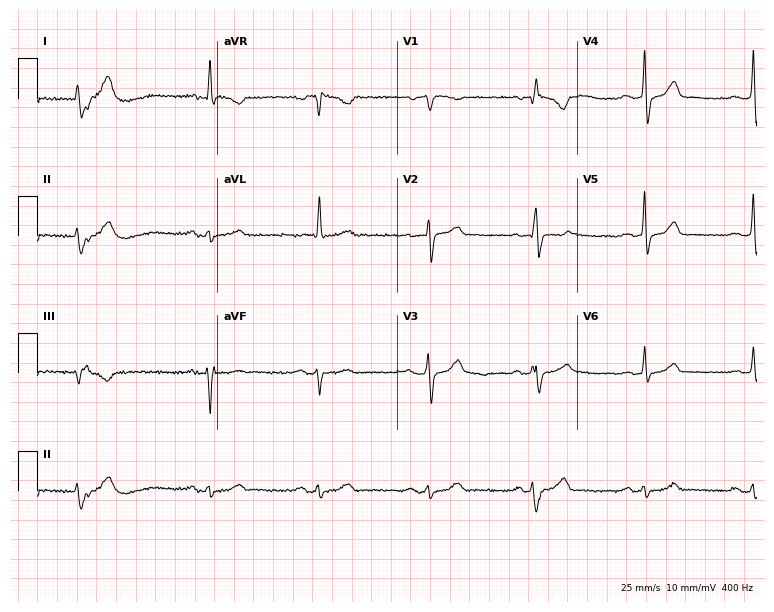
12-lead ECG from a man, 74 years old. No first-degree AV block, right bundle branch block (RBBB), left bundle branch block (LBBB), sinus bradycardia, atrial fibrillation (AF) or sinus tachycardia recorded for this tracing. Only these six findings were labelled.